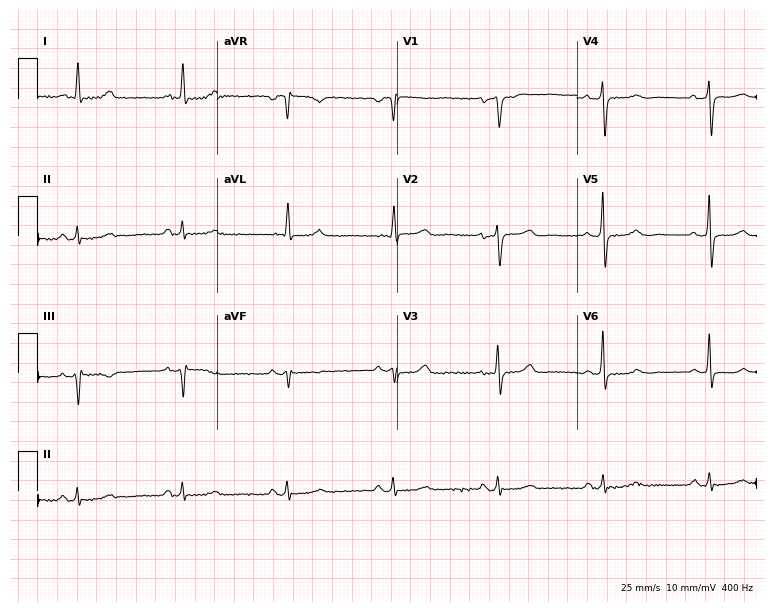
12-lead ECG from a 70-year-old female. No first-degree AV block, right bundle branch block, left bundle branch block, sinus bradycardia, atrial fibrillation or sinus tachycardia recorded for this tracing. Only these six findings were labelled.